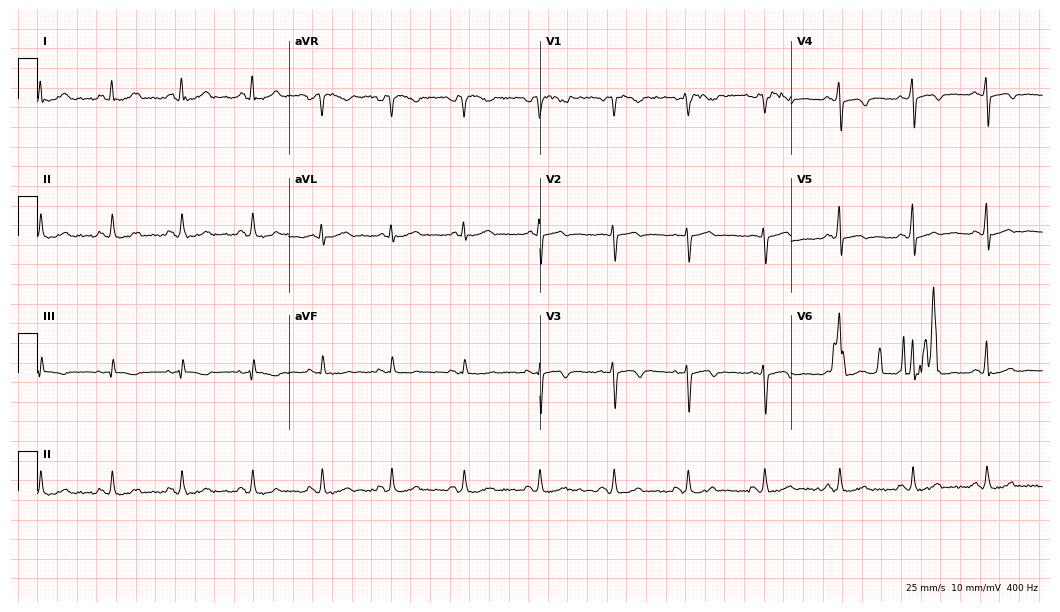
ECG (10.2-second recording at 400 Hz) — a female patient, 44 years old. Screened for six findings — first-degree AV block, right bundle branch block, left bundle branch block, sinus bradycardia, atrial fibrillation, sinus tachycardia — none is recorded.